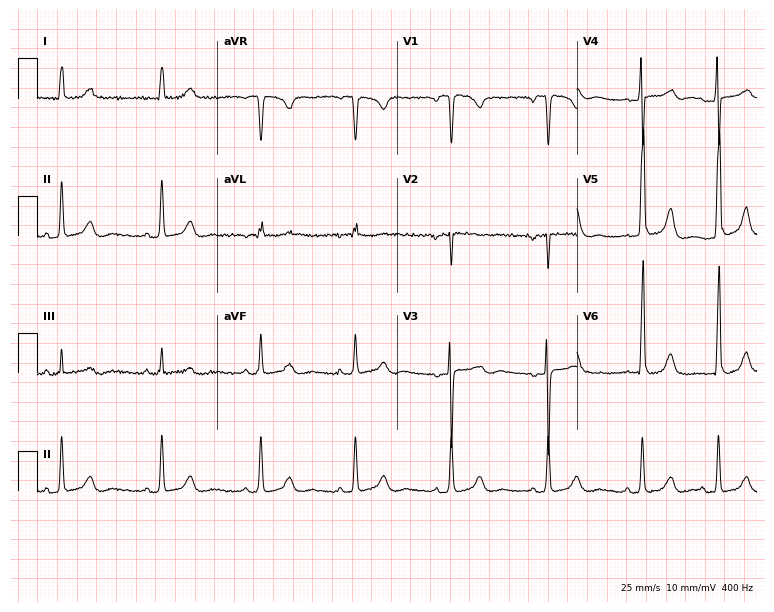
12-lead ECG from a female patient, 37 years old (7.3-second recording at 400 Hz). No first-degree AV block, right bundle branch block, left bundle branch block, sinus bradycardia, atrial fibrillation or sinus tachycardia recorded for this tracing.